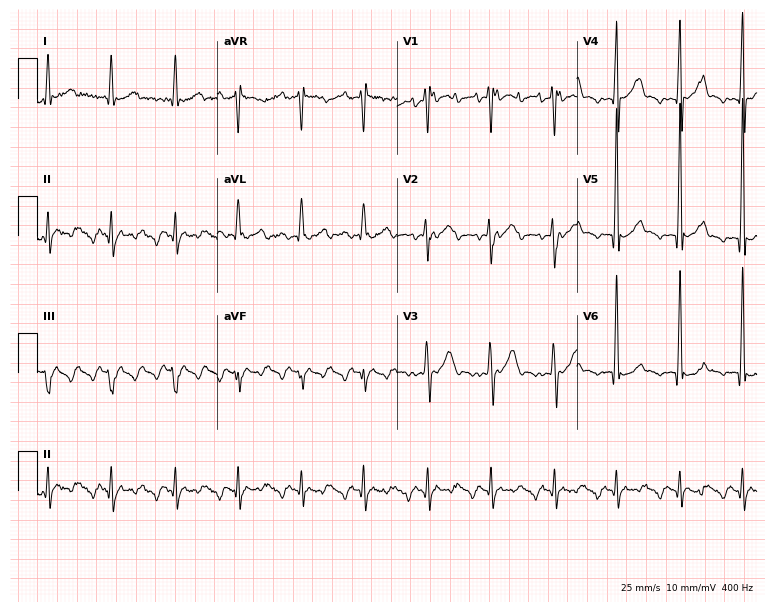
12-lead ECG from a 66-year-old male patient (7.3-second recording at 400 Hz). No first-degree AV block, right bundle branch block (RBBB), left bundle branch block (LBBB), sinus bradycardia, atrial fibrillation (AF) or sinus tachycardia recorded for this tracing. Other findings, if any, are not listed.